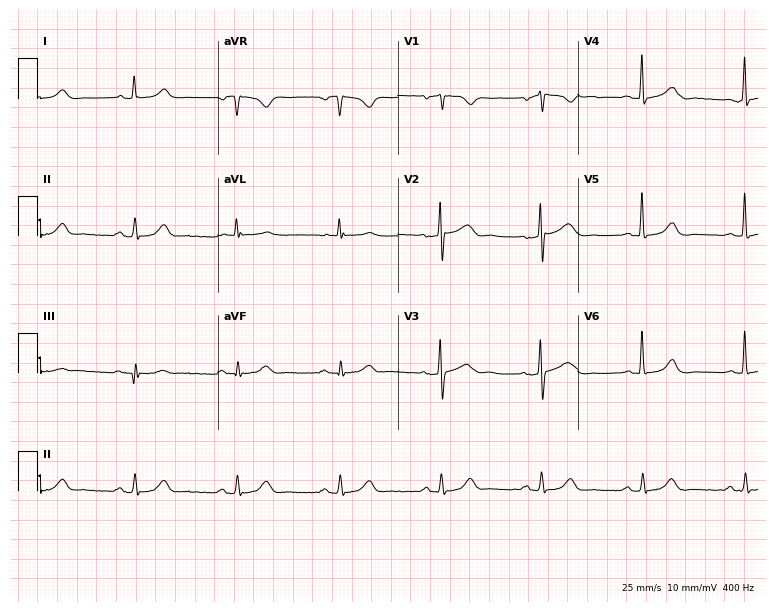
Standard 12-lead ECG recorded from a 66-year-old woman (7.3-second recording at 400 Hz). None of these six findings is recorded: first-degree AV block, right bundle branch block, left bundle branch block, sinus bradycardia, atrial fibrillation, sinus tachycardia.